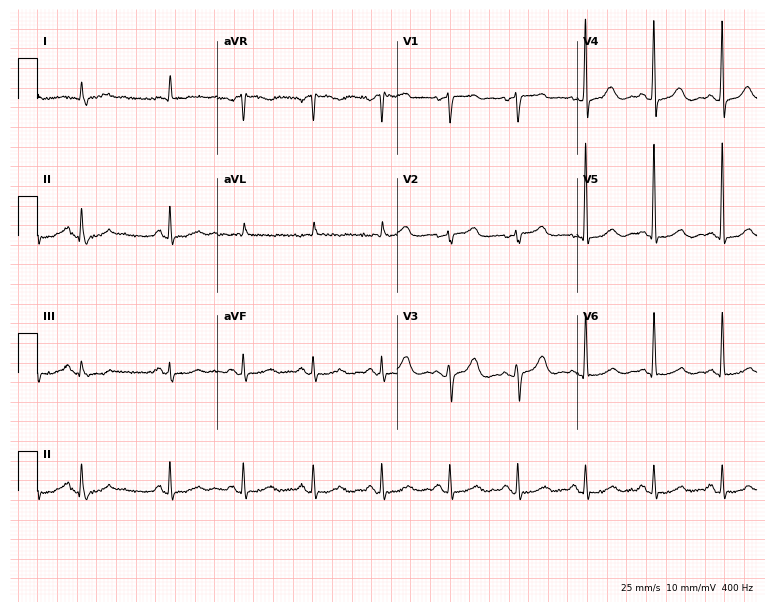
ECG (7.3-second recording at 400 Hz) — a 79-year-old man. Screened for six findings — first-degree AV block, right bundle branch block (RBBB), left bundle branch block (LBBB), sinus bradycardia, atrial fibrillation (AF), sinus tachycardia — none is recorded.